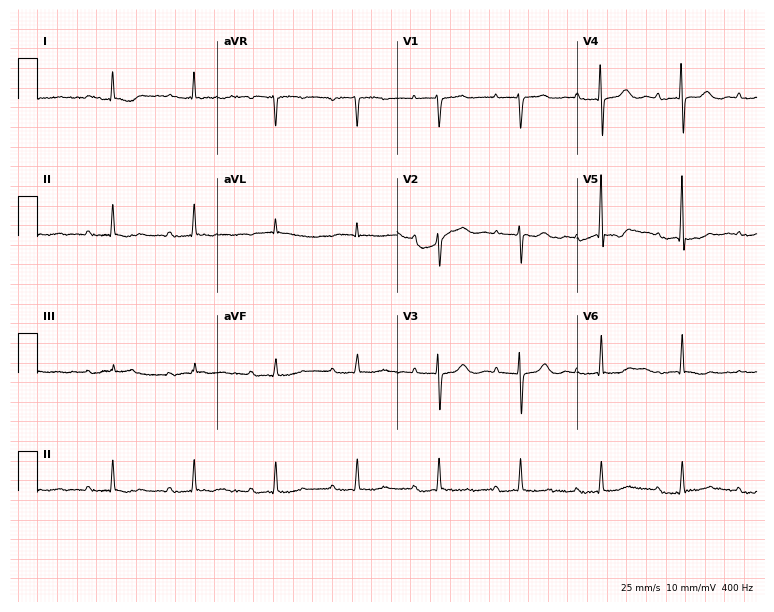
12-lead ECG from an 80-year-old male. Findings include first-degree AV block.